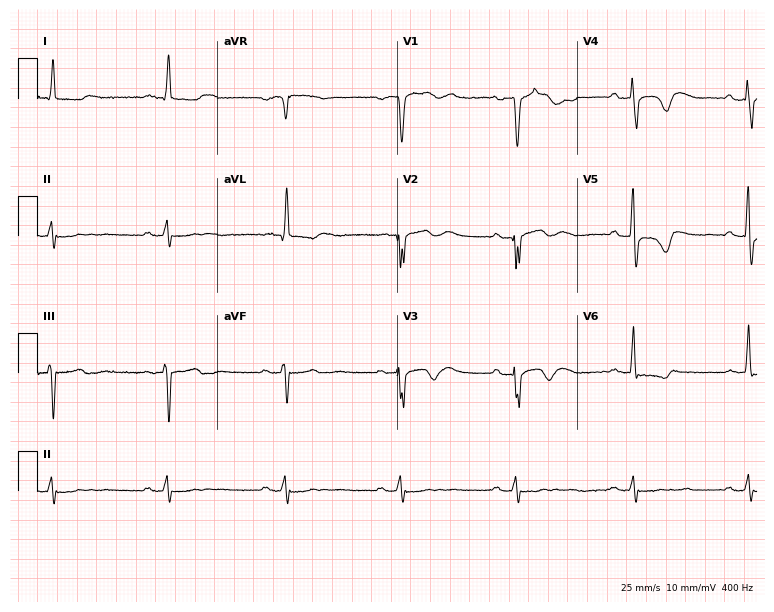
12-lead ECG from an 83-year-old male (7.3-second recording at 400 Hz). No first-degree AV block, right bundle branch block, left bundle branch block, sinus bradycardia, atrial fibrillation or sinus tachycardia recorded for this tracing. Only these six findings were labelled.